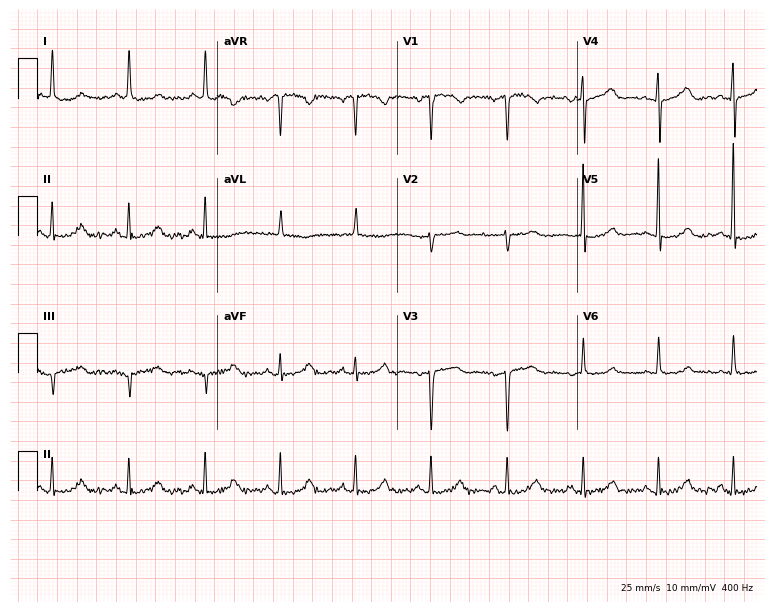
Electrocardiogram, a woman, 73 years old. Of the six screened findings (first-degree AV block, right bundle branch block, left bundle branch block, sinus bradycardia, atrial fibrillation, sinus tachycardia), none is recorded.